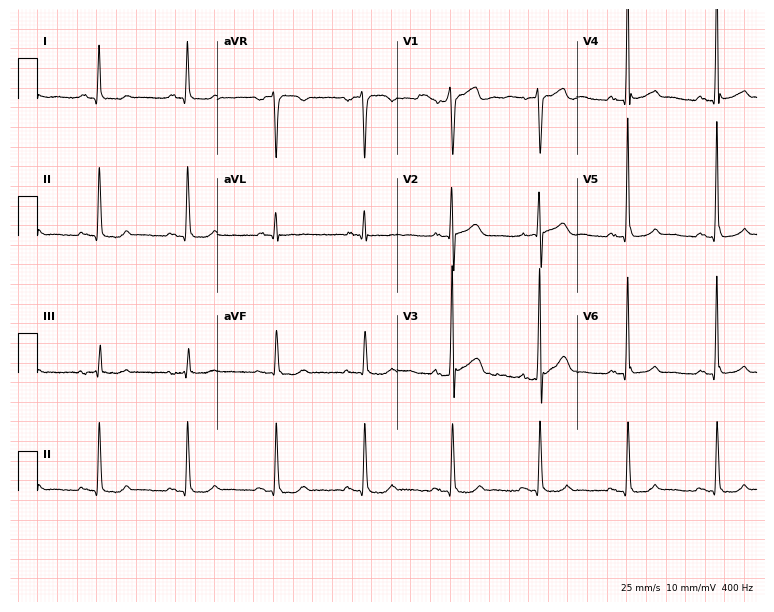
Electrocardiogram (7.3-second recording at 400 Hz), a man, 85 years old. Of the six screened findings (first-degree AV block, right bundle branch block, left bundle branch block, sinus bradycardia, atrial fibrillation, sinus tachycardia), none is recorded.